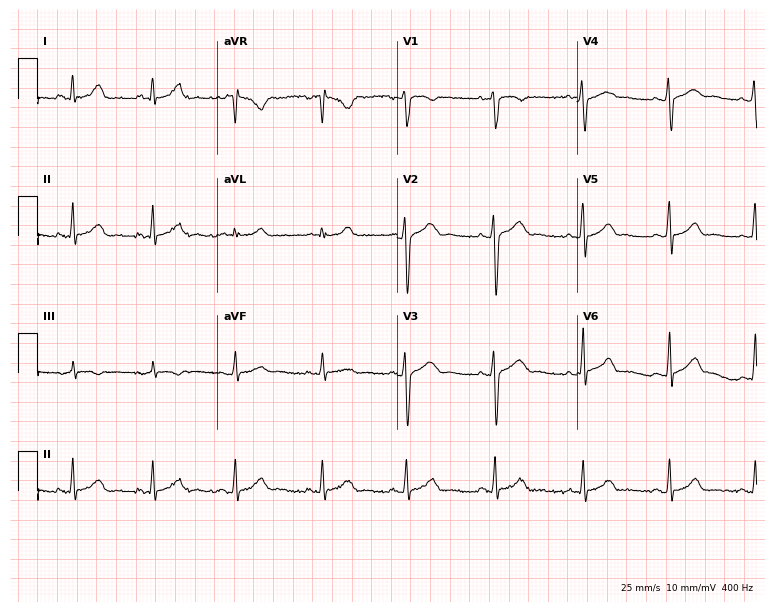
12-lead ECG from a woman, 28 years old. Screened for six findings — first-degree AV block, right bundle branch block, left bundle branch block, sinus bradycardia, atrial fibrillation, sinus tachycardia — none is recorded.